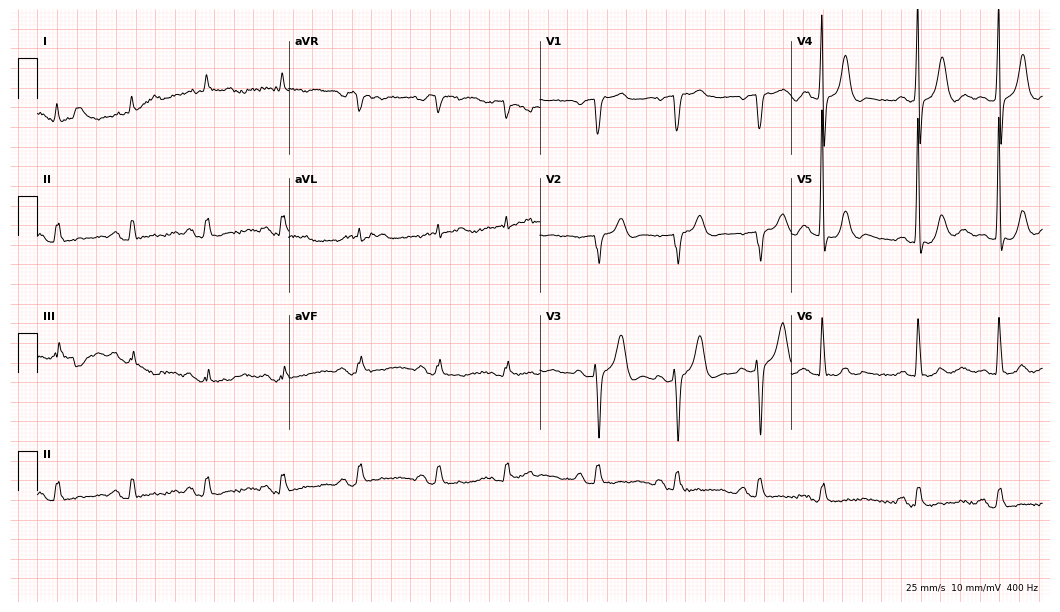
12-lead ECG from a 78-year-old man. Screened for six findings — first-degree AV block, right bundle branch block, left bundle branch block, sinus bradycardia, atrial fibrillation, sinus tachycardia — none is recorded. Other findings, if any, are not listed.